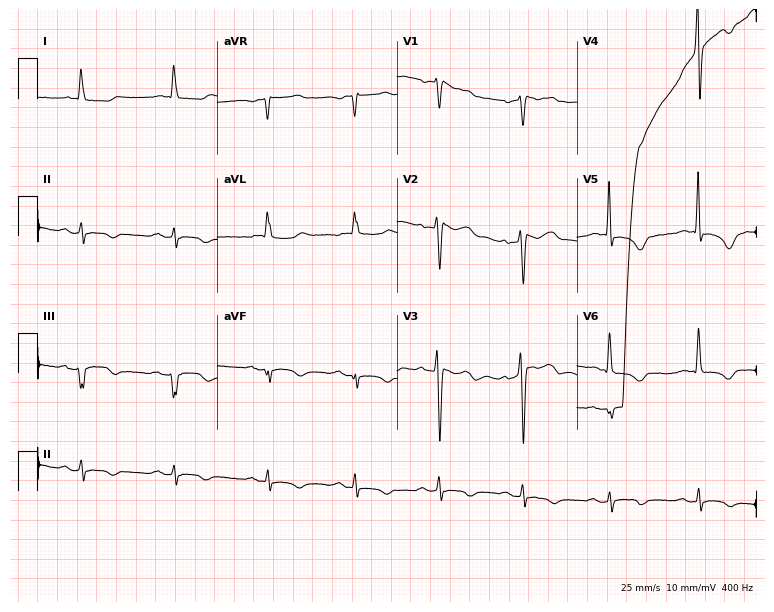
Standard 12-lead ECG recorded from an 83-year-old woman (7.3-second recording at 400 Hz). None of these six findings is recorded: first-degree AV block, right bundle branch block (RBBB), left bundle branch block (LBBB), sinus bradycardia, atrial fibrillation (AF), sinus tachycardia.